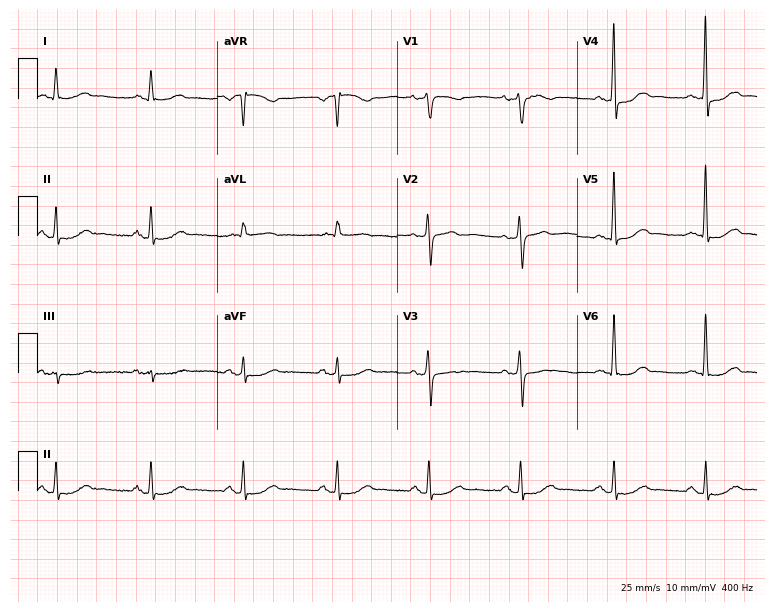
Resting 12-lead electrocardiogram (7.3-second recording at 400 Hz). Patient: a woman, 55 years old. Read as a normal ECG.